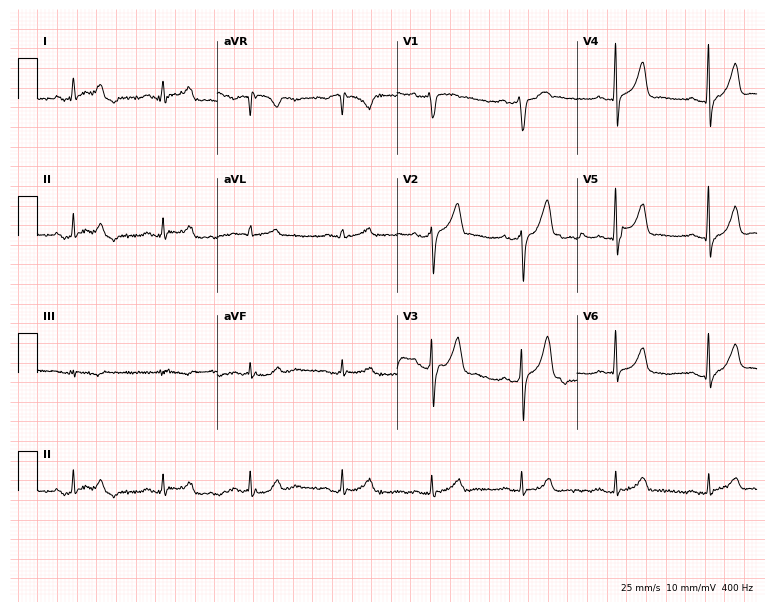
Electrocardiogram (7.3-second recording at 400 Hz), a 46-year-old male patient. Of the six screened findings (first-degree AV block, right bundle branch block, left bundle branch block, sinus bradycardia, atrial fibrillation, sinus tachycardia), none is recorded. Findings outside these six are not listed.